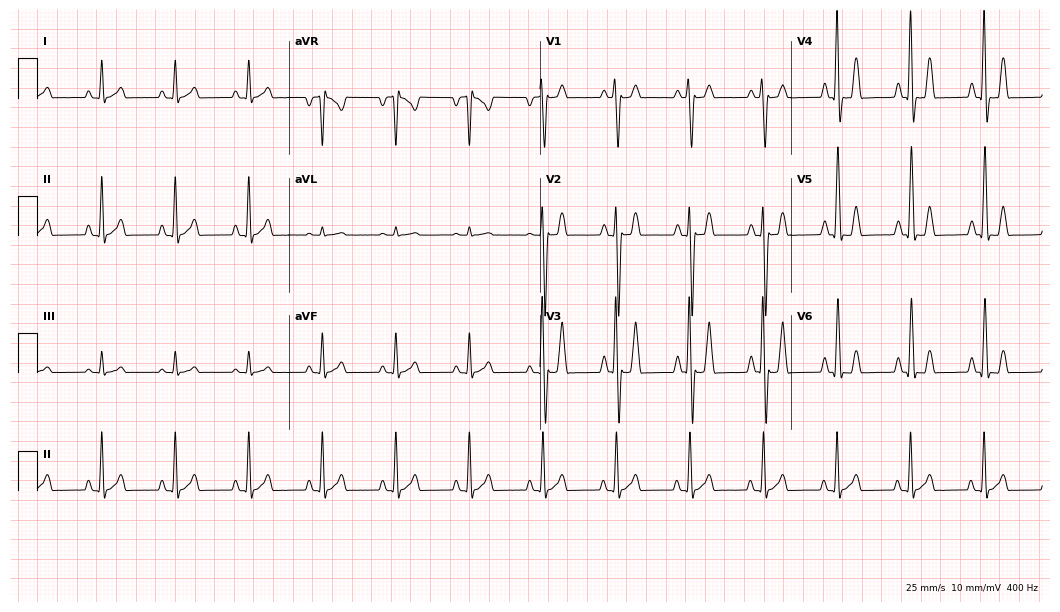
Electrocardiogram, a woman, 30 years old. Overall reading on record: normal ECG.